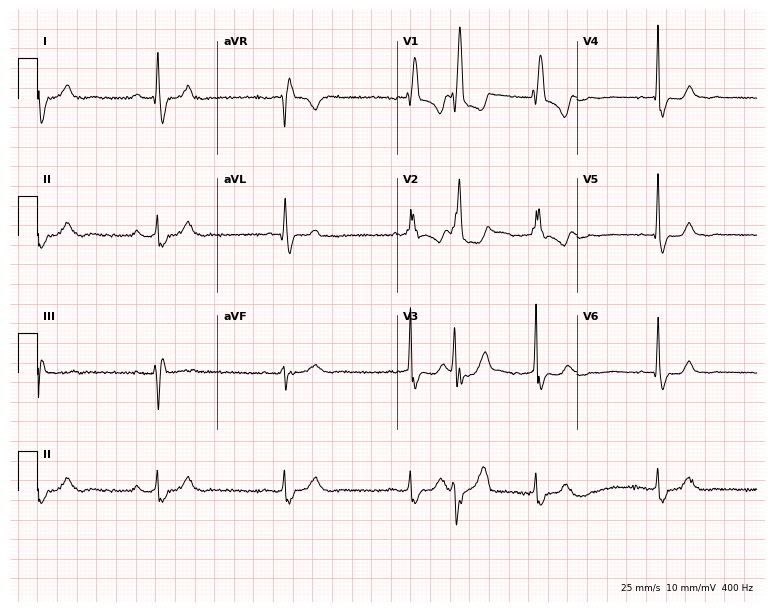
ECG (7.3-second recording at 400 Hz) — a woman, 53 years old. Findings include first-degree AV block, right bundle branch block, sinus bradycardia (a sinus rate of 50 beats per minute or less).